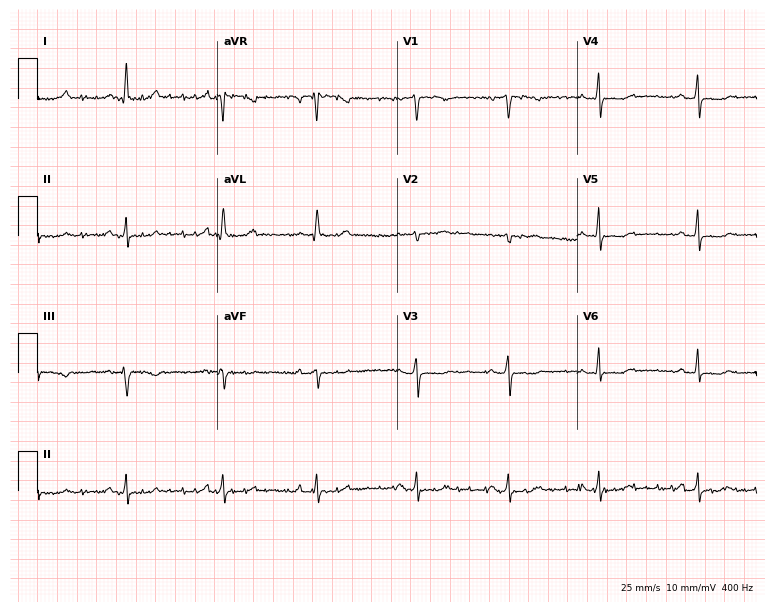
Electrocardiogram (7.3-second recording at 400 Hz), a female patient, 46 years old. Of the six screened findings (first-degree AV block, right bundle branch block (RBBB), left bundle branch block (LBBB), sinus bradycardia, atrial fibrillation (AF), sinus tachycardia), none is recorded. Only these six findings were labelled.